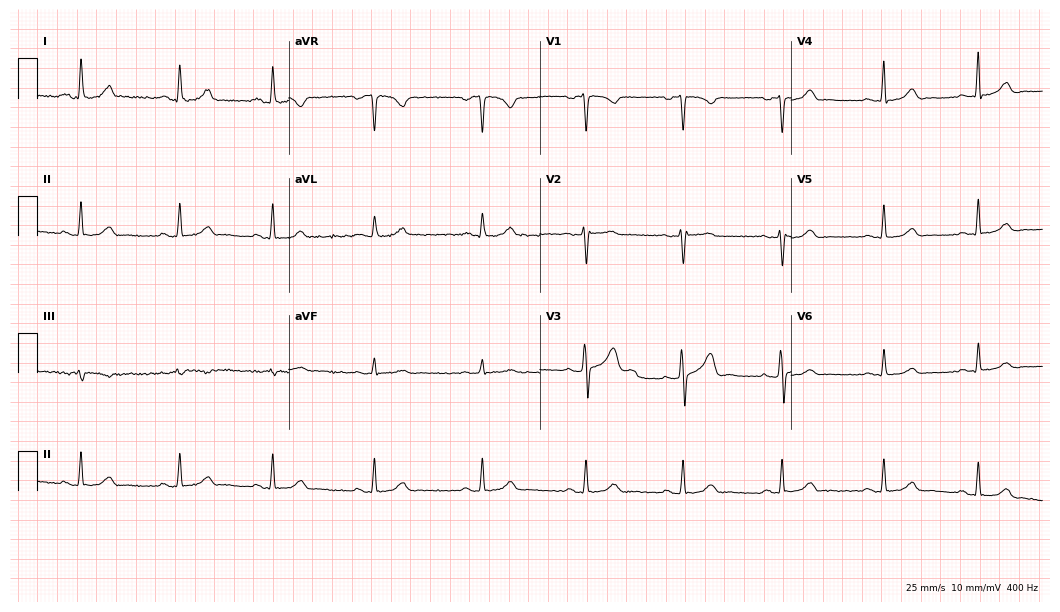
12-lead ECG from a 34-year-old female. Labelled as a normal ECG.